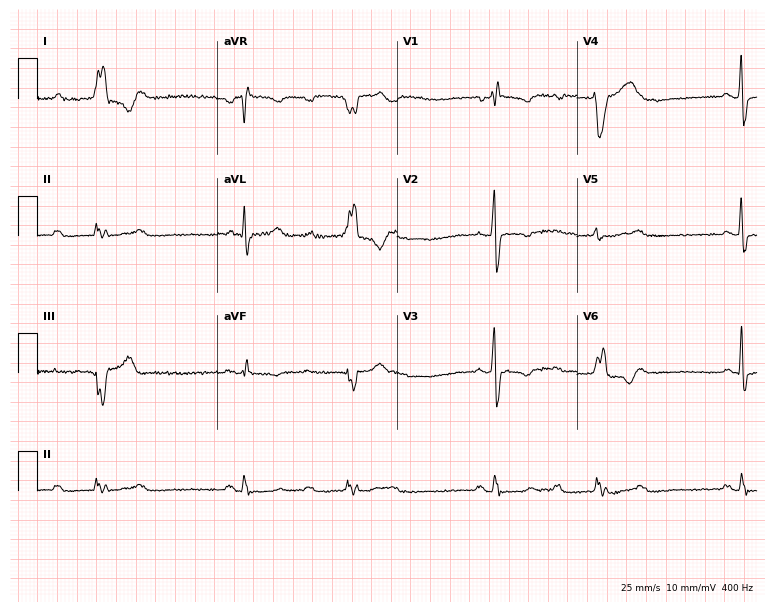
12-lead ECG from a 56-year-old male (7.3-second recording at 400 Hz). No first-degree AV block, right bundle branch block (RBBB), left bundle branch block (LBBB), sinus bradycardia, atrial fibrillation (AF) or sinus tachycardia recorded for this tracing.